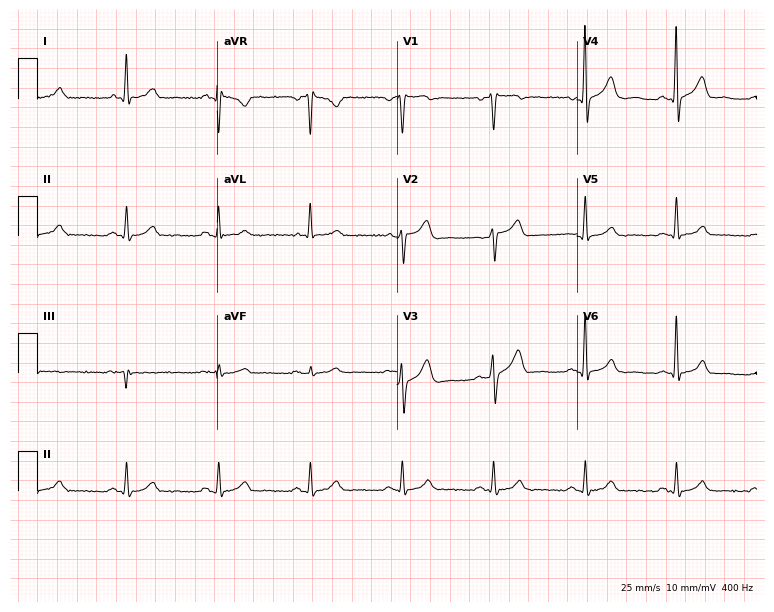
12-lead ECG from a man, 65 years old. Screened for six findings — first-degree AV block, right bundle branch block, left bundle branch block, sinus bradycardia, atrial fibrillation, sinus tachycardia — none is recorded. Only these six findings were labelled.